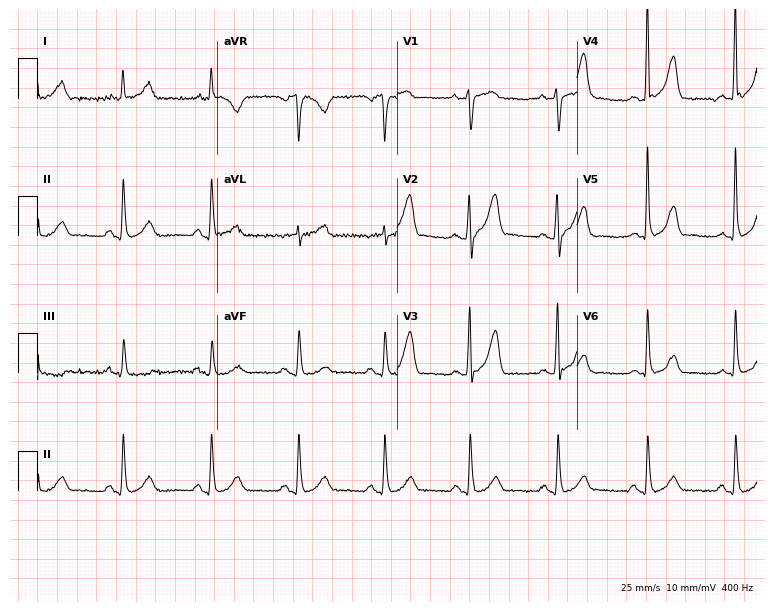
ECG — a male, 45 years old. Labelled as a normal ECG.